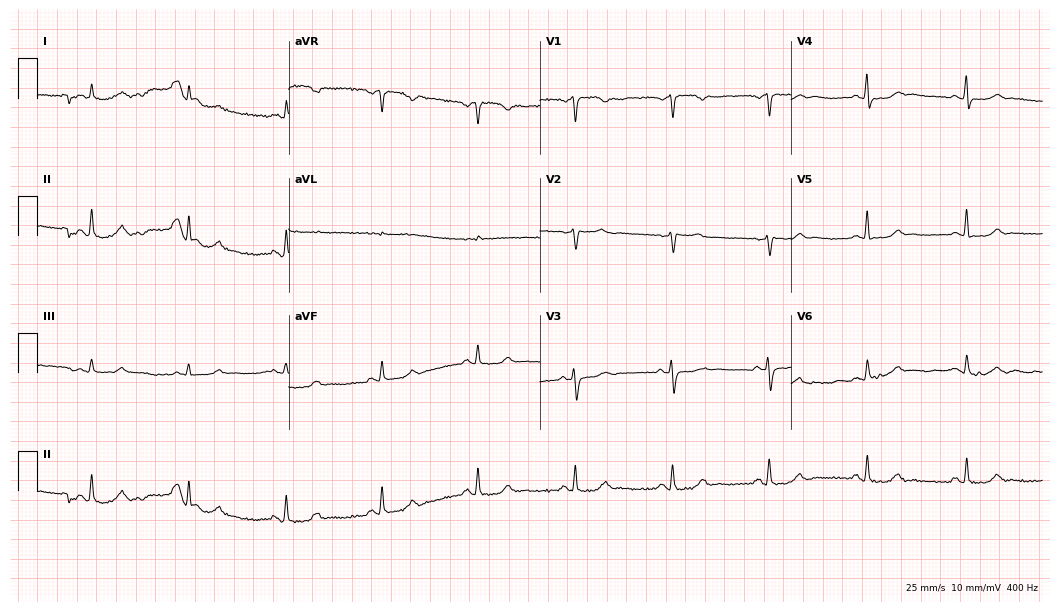
Electrocardiogram (10.2-second recording at 400 Hz), a woman, 67 years old. Overall reading on record: normal ECG.